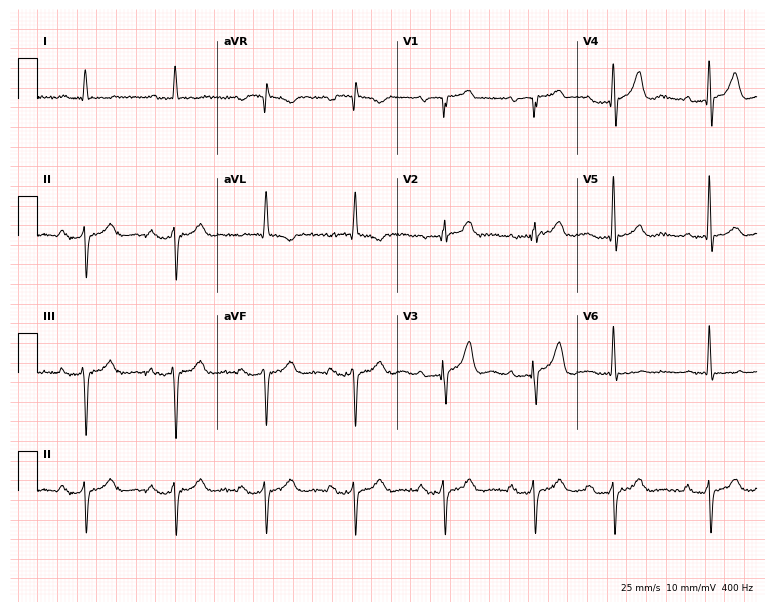
ECG — a 75-year-old man. Findings include first-degree AV block.